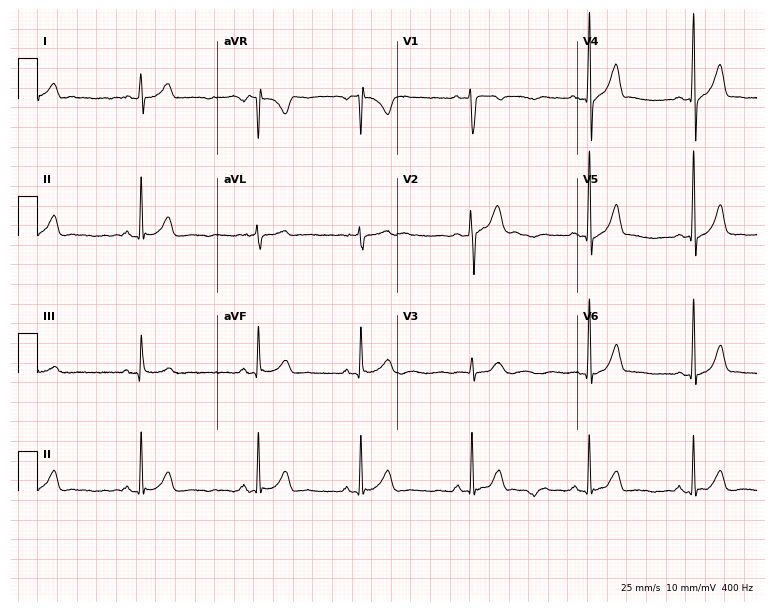
12-lead ECG from a 21-year-old male (7.3-second recording at 400 Hz). Recorded interpretation: within normal limits.